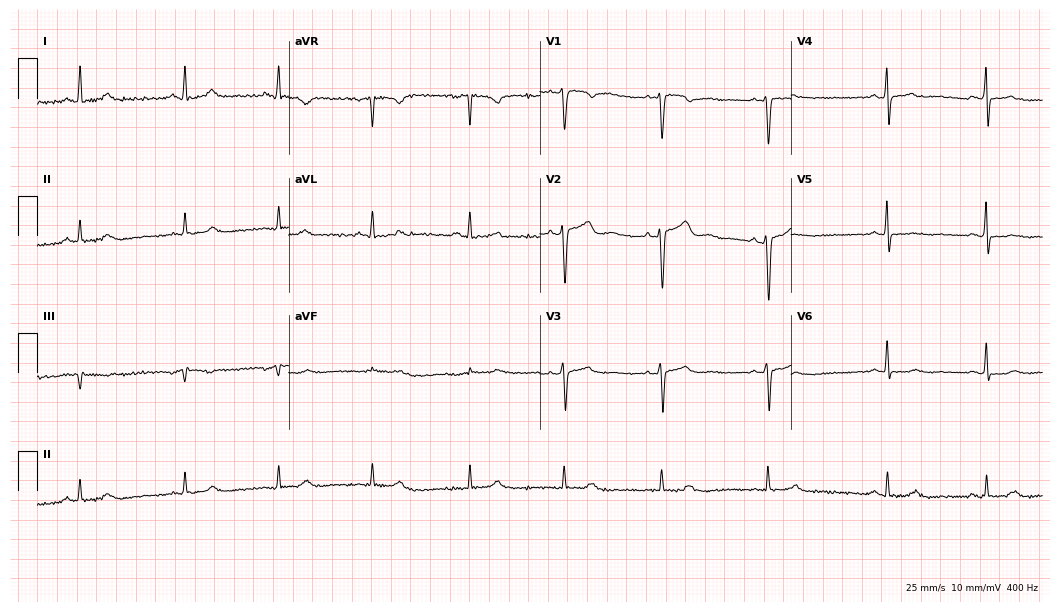
12-lead ECG from a female patient, 42 years old. Recorded interpretation: within normal limits.